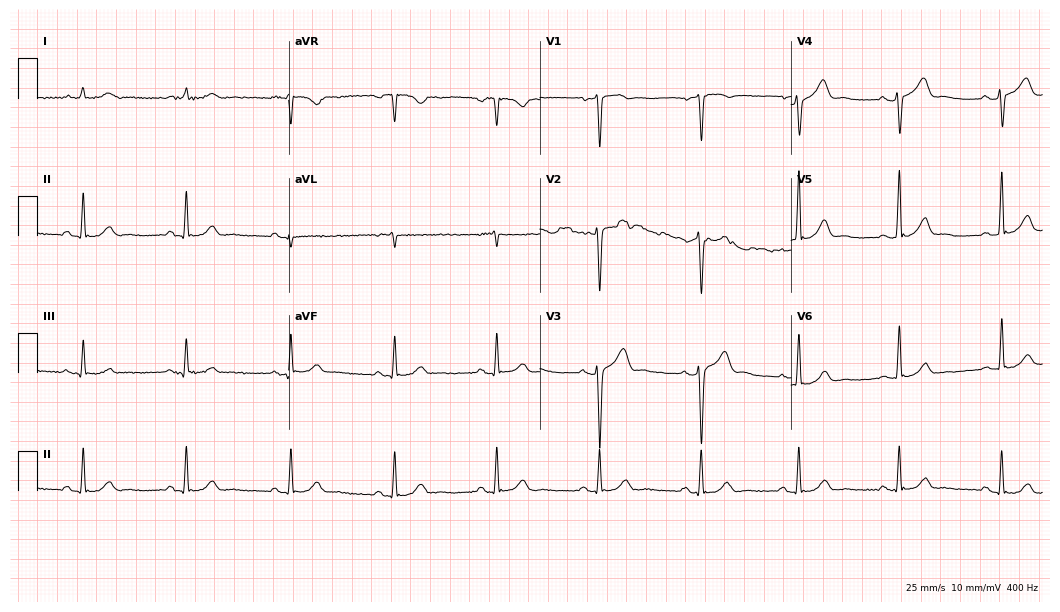
Resting 12-lead electrocardiogram. Patient: a 67-year-old male. None of these six findings is recorded: first-degree AV block, right bundle branch block, left bundle branch block, sinus bradycardia, atrial fibrillation, sinus tachycardia.